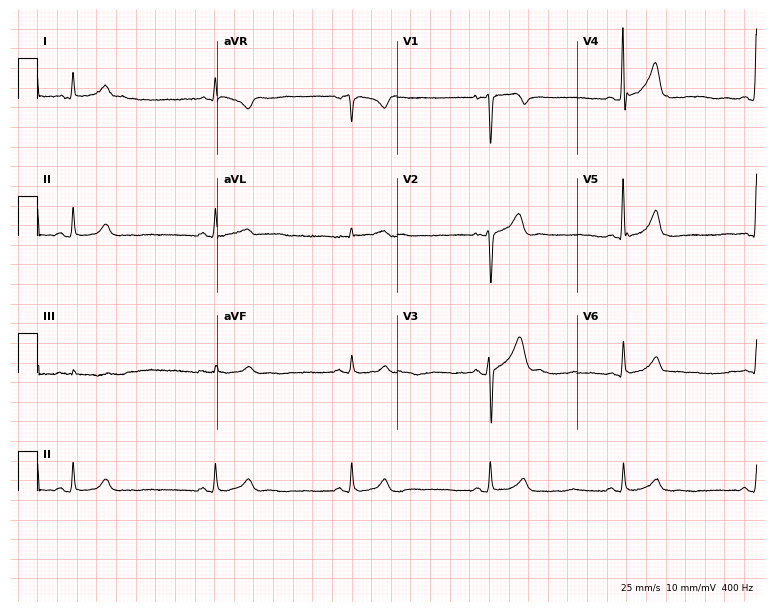
12-lead ECG from a 53-year-old man. Findings include sinus bradycardia (a sinus rate of 50 beats per minute or less).